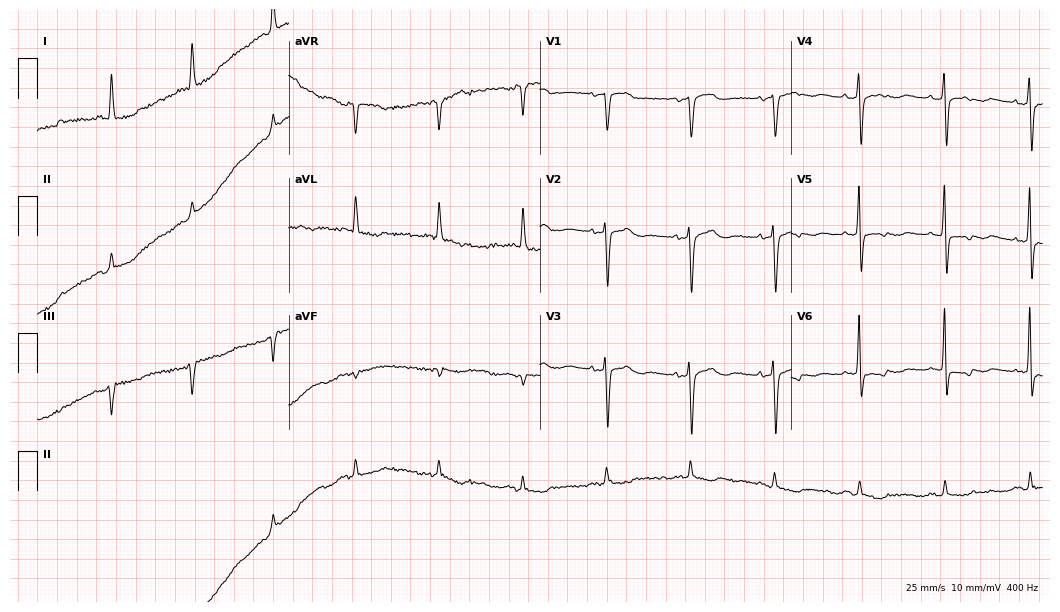
12-lead ECG from a woman, 77 years old (10.2-second recording at 400 Hz). No first-degree AV block, right bundle branch block, left bundle branch block, sinus bradycardia, atrial fibrillation or sinus tachycardia recorded for this tracing.